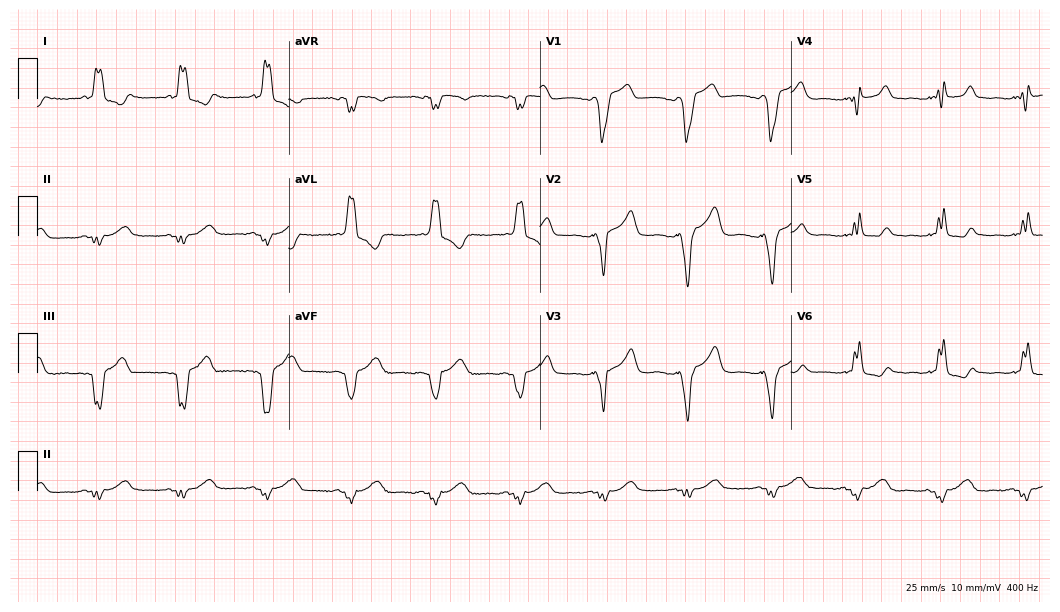
12-lead ECG (10.2-second recording at 400 Hz) from a 59-year-old female patient. Screened for six findings — first-degree AV block, right bundle branch block (RBBB), left bundle branch block (LBBB), sinus bradycardia, atrial fibrillation (AF), sinus tachycardia — none is recorded.